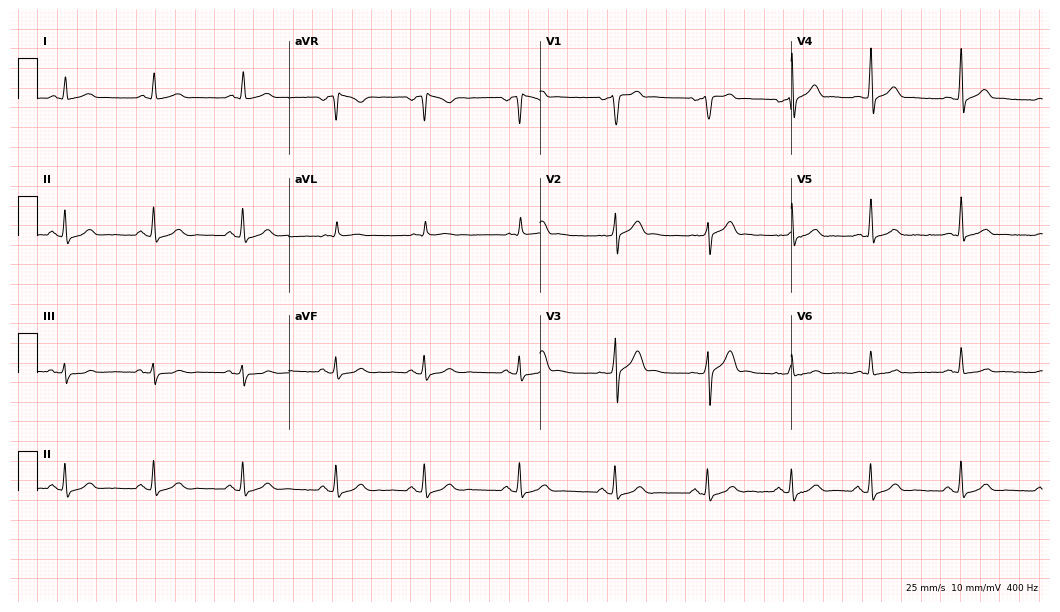
Standard 12-lead ECG recorded from a 56-year-old male patient (10.2-second recording at 400 Hz). Read as a normal ECG.